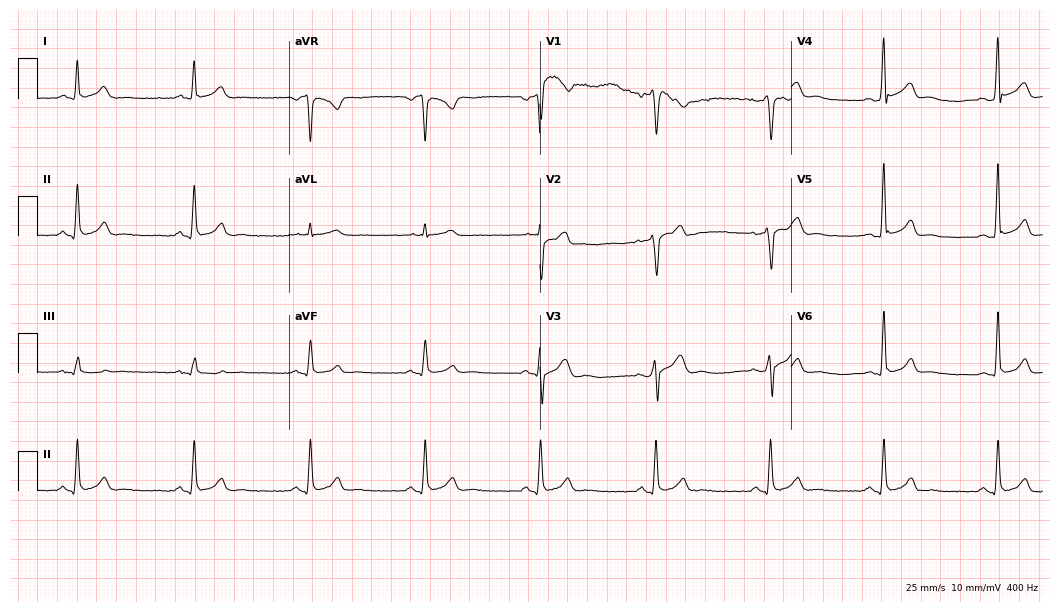
Electrocardiogram (10.2-second recording at 400 Hz), a 45-year-old male patient. Of the six screened findings (first-degree AV block, right bundle branch block, left bundle branch block, sinus bradycardia, atrial fibrillation, sinus tachycardia), none is recorded. Only these six findings were labelled.